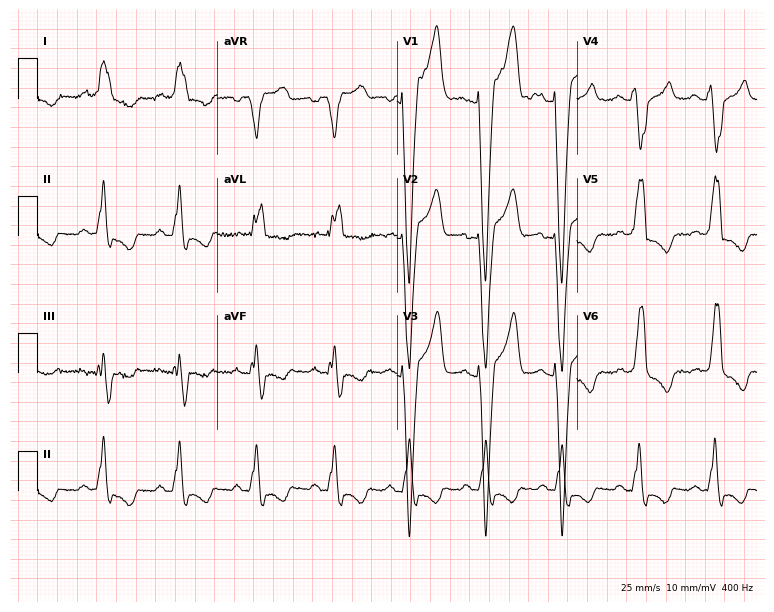
Electrocardiogram (7.3-second recording at 400 Hz), a 53-year-old male. Interpretation includes left bundle branch block (LBBB).